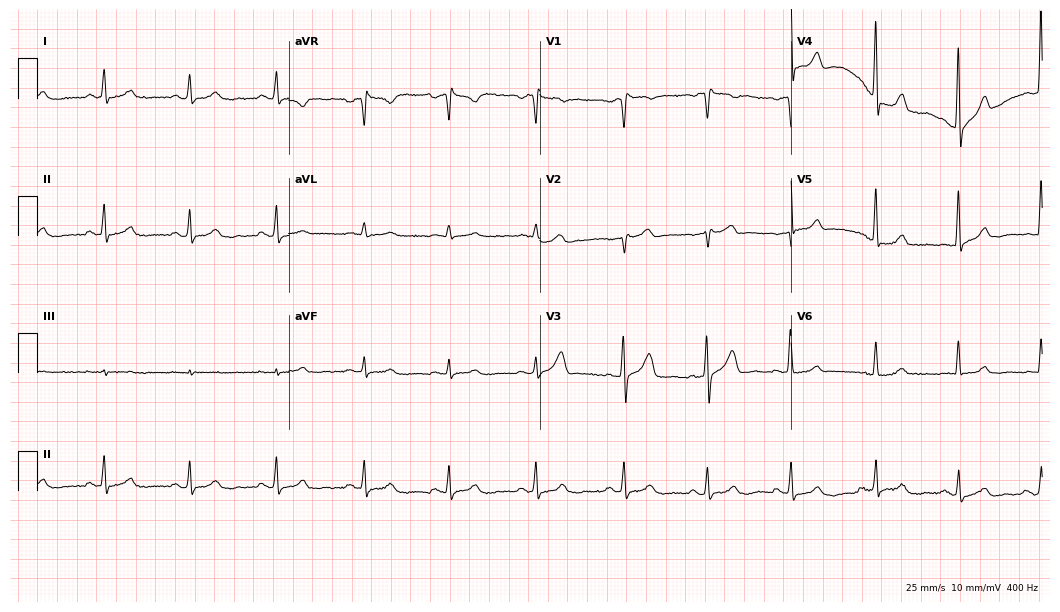
ECG (10.2-second recording at 400 Hz) — a 55-year-old man. Screened for six findings — first-degree AV block, right bundle branch block, left bundle branch block, sinus bradycardia, atrial fibrillation, sinus tachycardia — none is recorded. Findings outside these six are not listed.